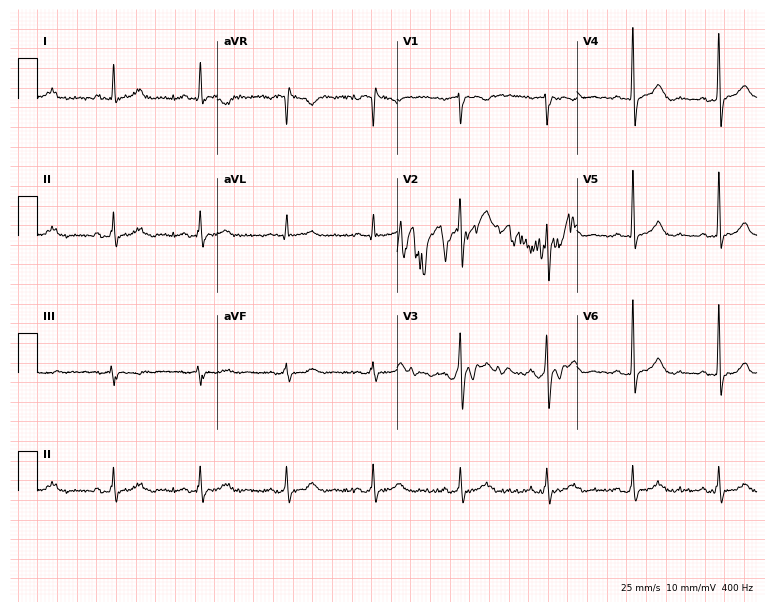
ECG — a 66-year-old man. Screened for six findings — first-degree AV block, right bundle branch block, left bundle branch block, sinus bradycardia, atrial fibrillation, sinus tachycardia — none is recorded.